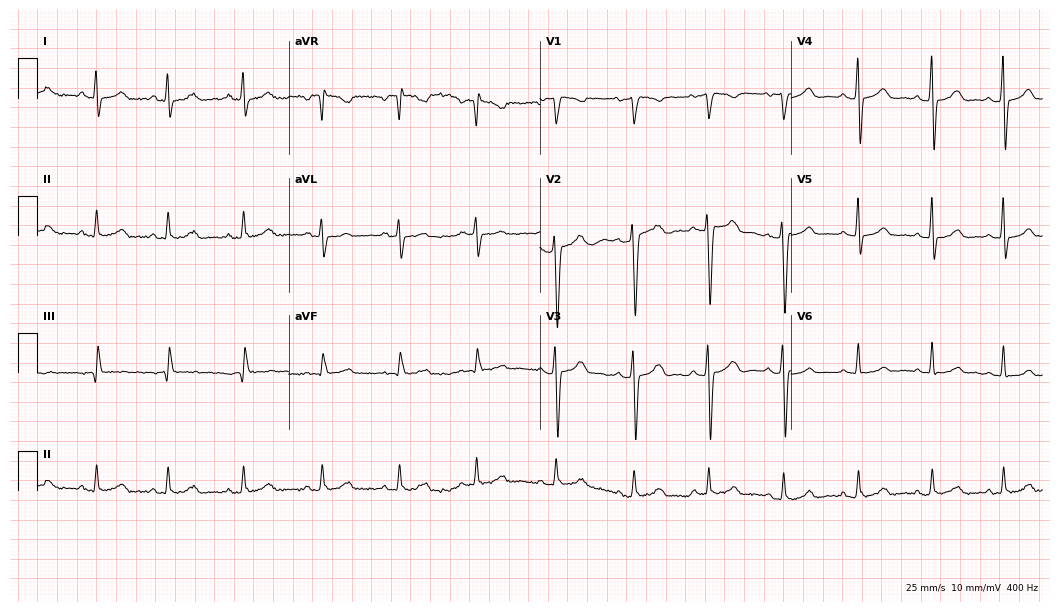
Resting 12-lead electrocardiogram. Patient: a 25-year-old female. Read as a normal ECG.